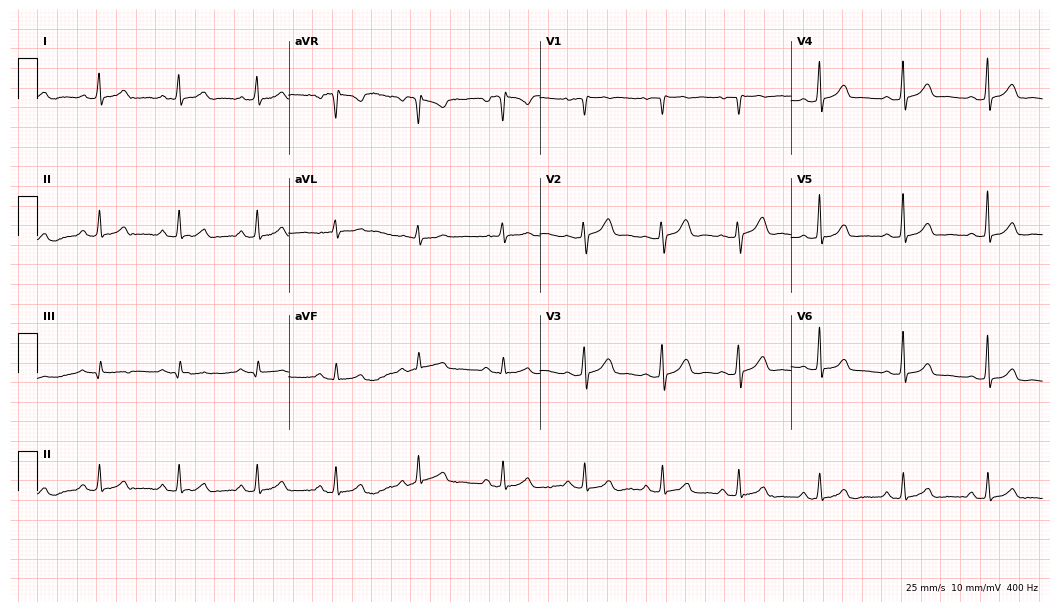
Resting 12-lead electrocardiogram. Patient: a female, 28 years old. Read as a normal ECG.